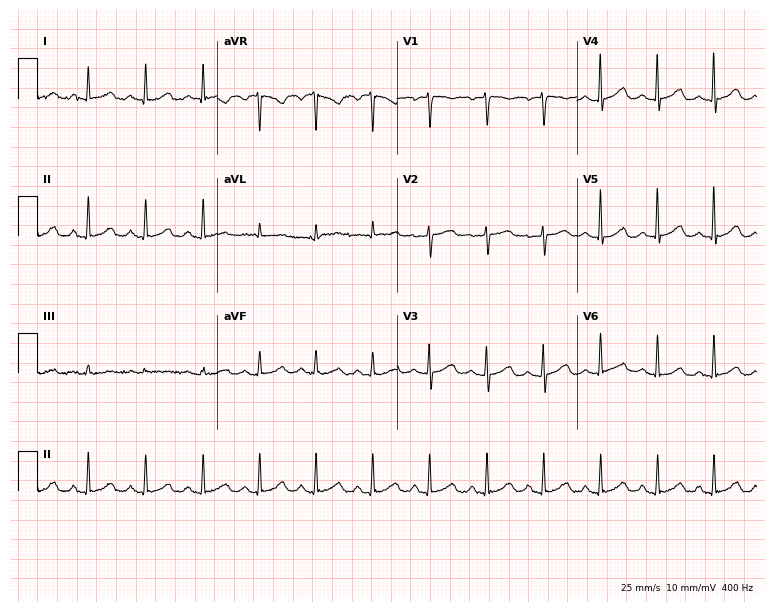
Resting 12-lead electrocardiogram. Patient: a female, 56 years old. The tracing shows sinus tachycardia (a sinus rate of 100 beats per minute or more).